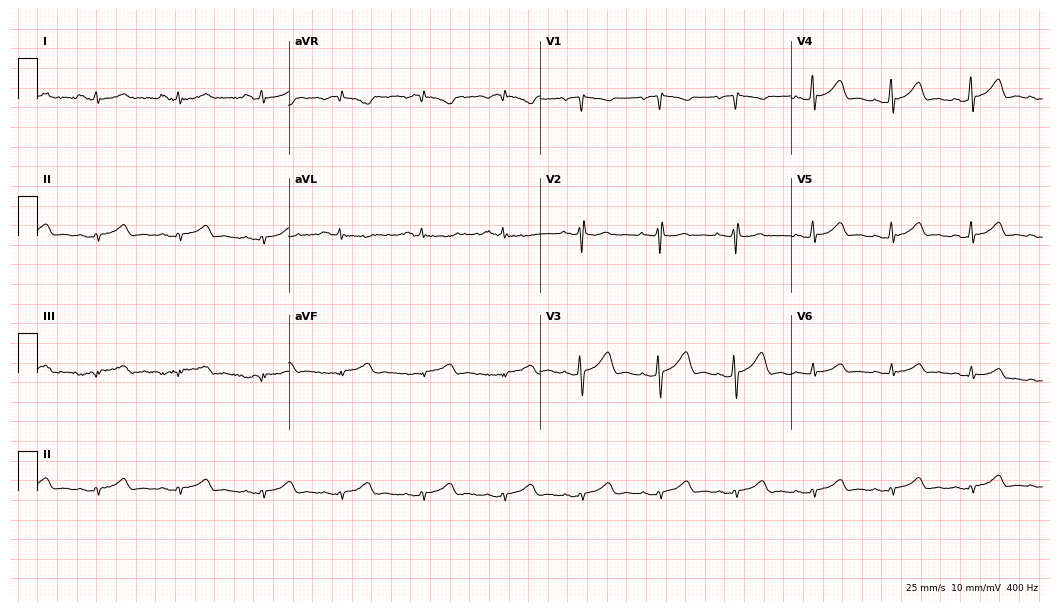
Standard 12-lead ECG recorded from a 34-year-old female patient. None of these six findings is recorded: first-degree AV block, right bundle branch block (RBBB), left bundle branch block (LBBB), sinus bradycardia, atrial fibrillation (AF), sinus tachycardia. Other findings, if any, are not listed.